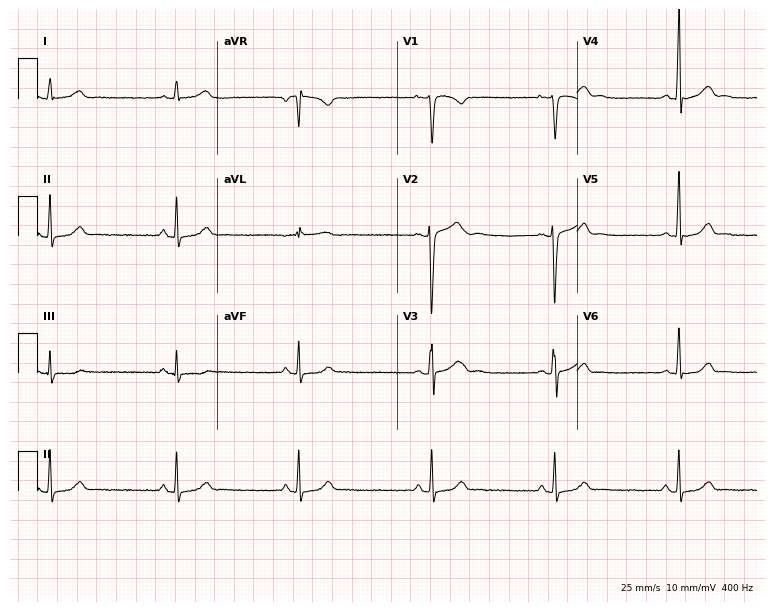
Resting 12-lead electrocardiogram (7.3-second recording at 400 Hz). Patient: a female, 24 years old. The tracing shows sinus bradycardia (a sinus rate of 50 beats per minute or less).